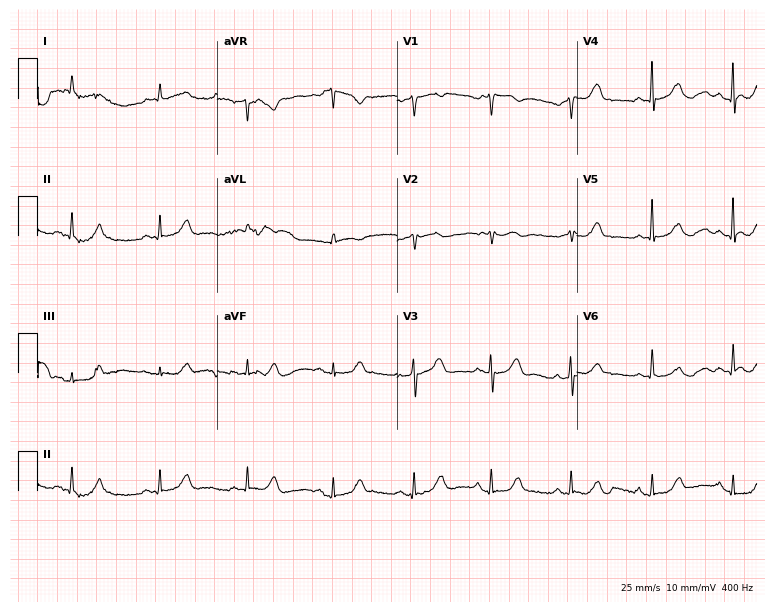
Standard 12-lead ECG recorded from a female patient, 77 years old. Read as a normal ECG.